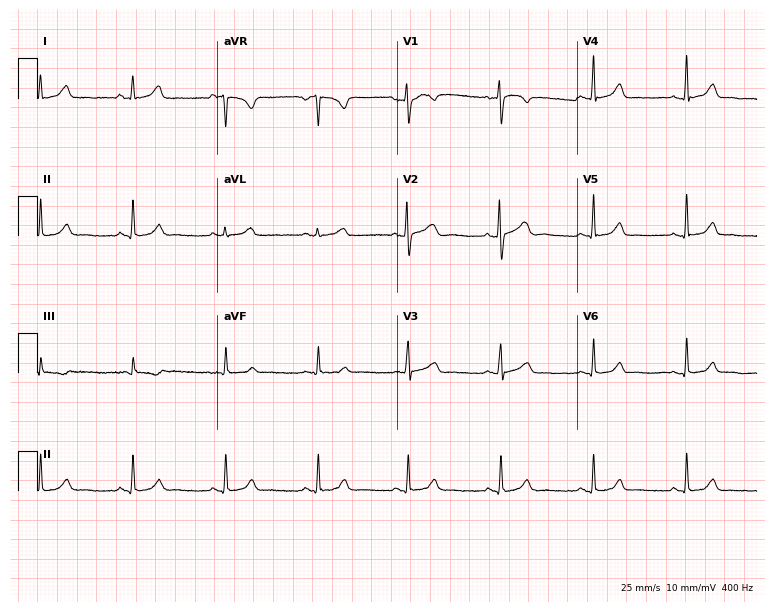
Resting 12-lead electrocardiogram. Patient: a 34-year-old female. None of these six findings is recorded: first-degree AV block, right bundle branch block, left bundle branch block, sinus bradycardia, atrial fibrillation, sinus tachycardia.